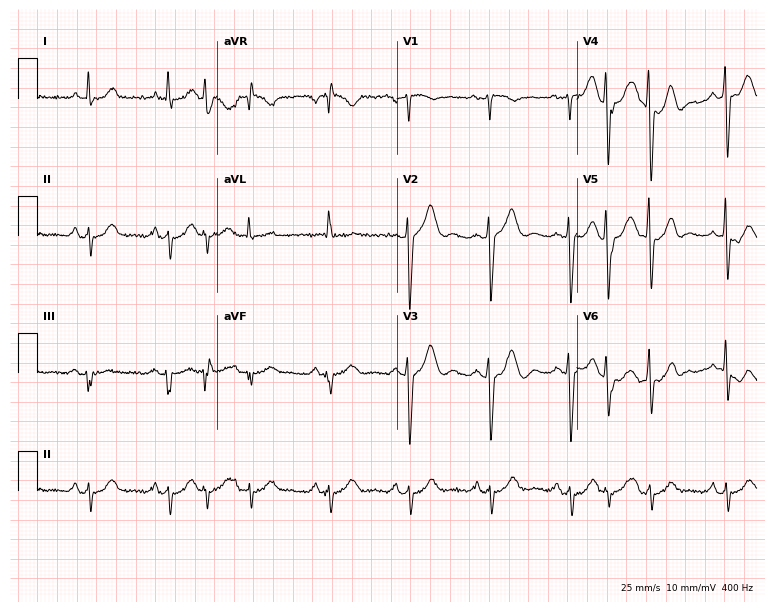
12-lead ECG (7.3-second recording at 400 Hz) from a 63-year-old female. Screened for six findings — first-degree AV block, right bundle branch block, left bundle branch block, sinus bradycardia, atrial fibrillation, sinus tachycardia — none is recorded.